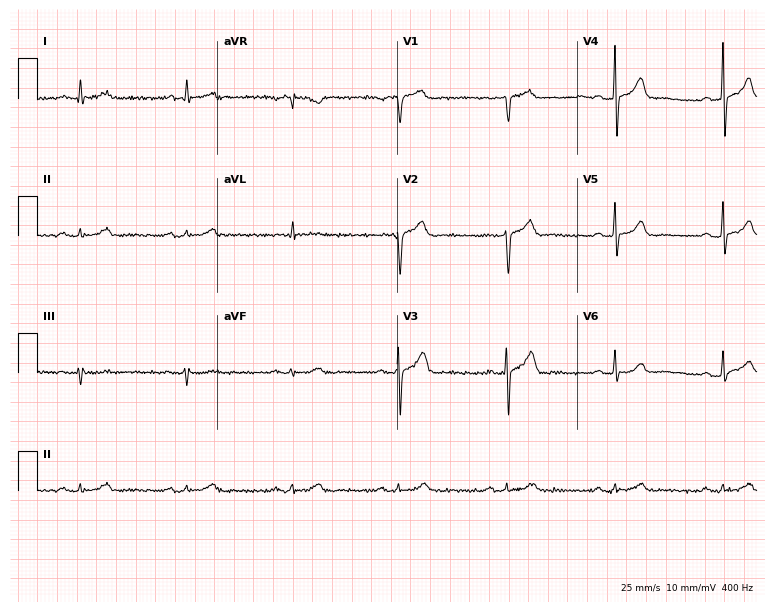
Resting 12-lead electrocardiogram. Patient: a male, 72 years old. Read as a normal ECG.